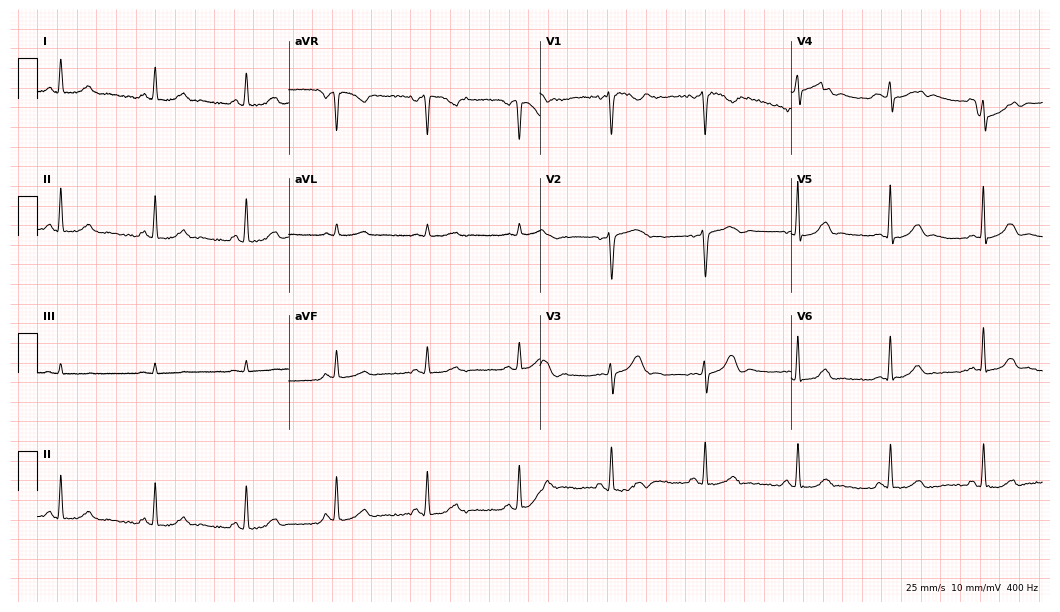
Electrocardiogram (10.2-second recording at 400 Hz), a female patient, 53 years old. Overall reading on record: normal ECG.